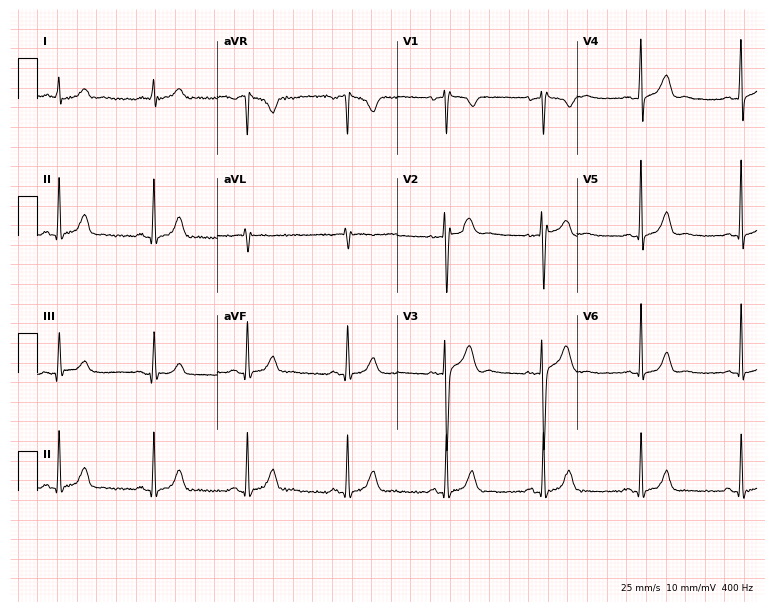
12-lead ECG from a 44-year-old male. Labelled as a normal ECG.